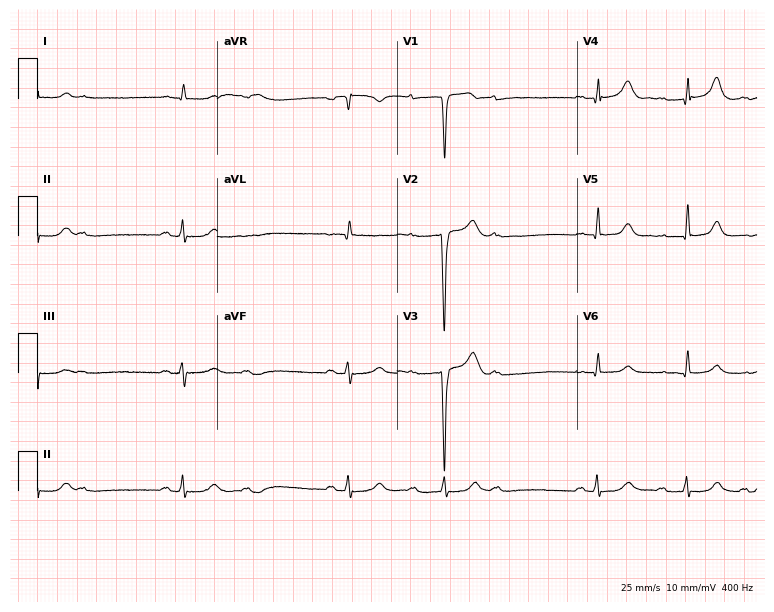
ECG (7.3-second recording at 400 Hz) — a 64-year-old male. Screened for six findings — first-degree AV block, right bundle branch block, left bundle branch block, sinus bradycardia, atrial fibrillation, sinus tachycardia — none is recorded. Only these six findings were labelled.